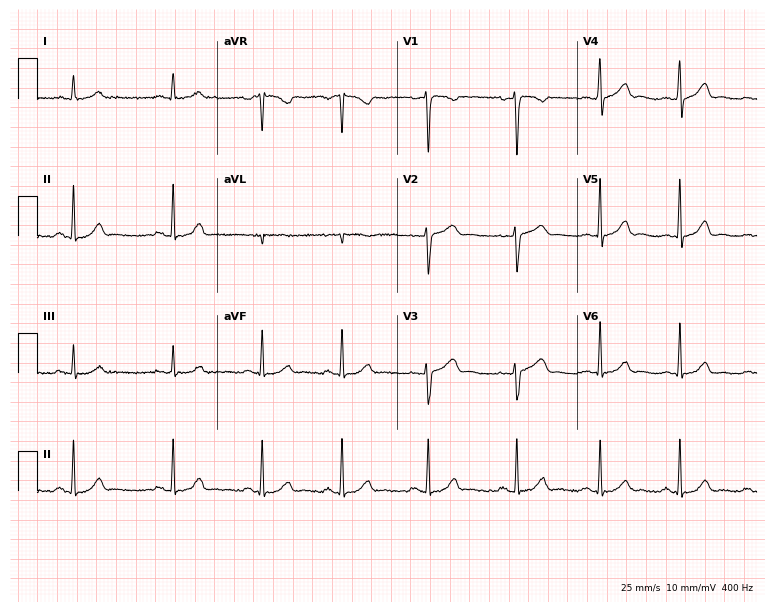
12-lead ECG from a 39-year-old female patient. No first-degree AV block, right bundle branch block (RBBB), left bundle branch block (LBBB), sinus bradycardia, atrial fibrillation (AF) or sinus tachycardia recorded for this tracing.